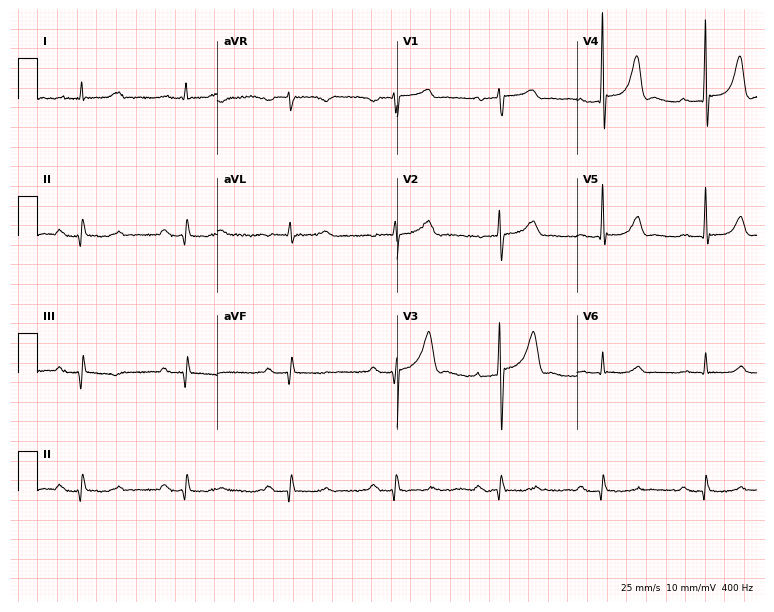
Resting 12-lead electrocardiogram (7.3-second recording at 400 Hz). Patient: a 62-year-old male. The tracing shows first-degree AV block.